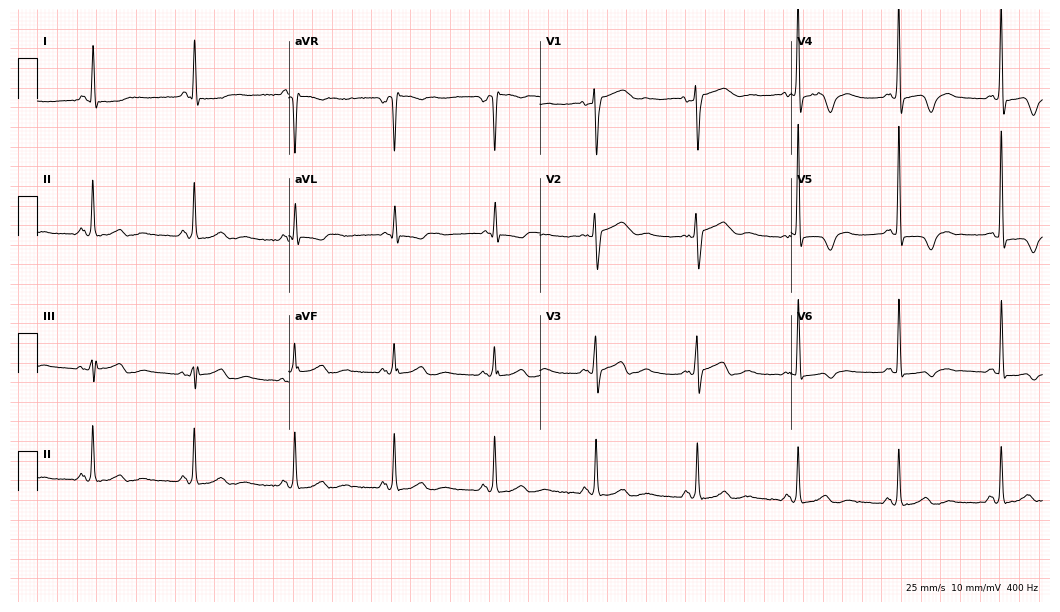
Electrocardiogram, a 69-year-old female. Of the six screened findings (first-degree AV block, right bundle branch block (RBBB), left bundle branch block (LBBB), sinus bradycardia, atrial fibrillation (AF), sinus tachycardia), none is recorded. Findings outside these six are not listed.